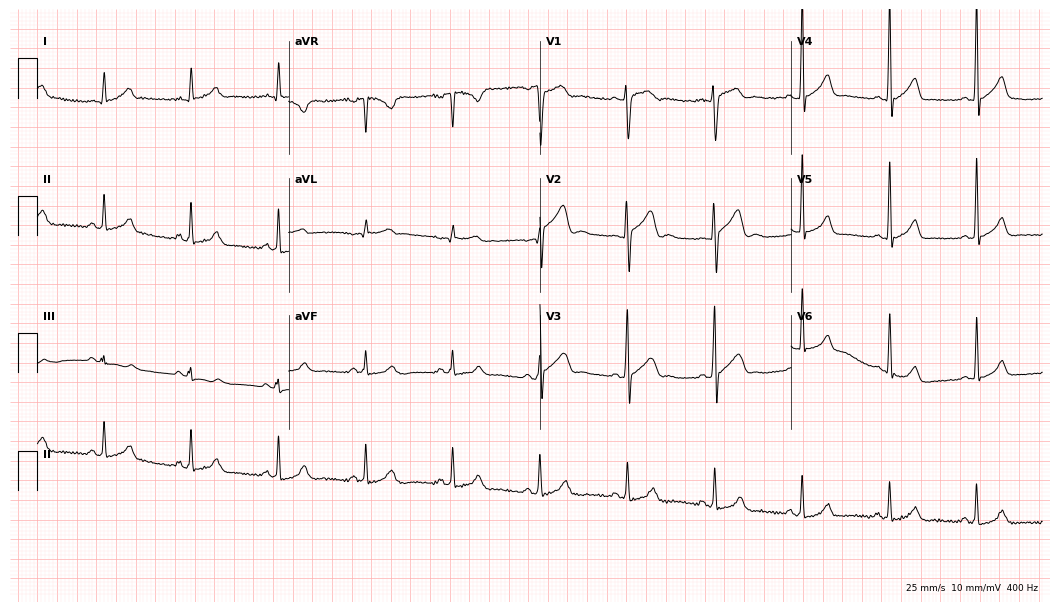
Standard 12-lead ECG recorded from a male patient, 19 years old (10.2-second recording at 400 Hz). Read as a normal ECG.